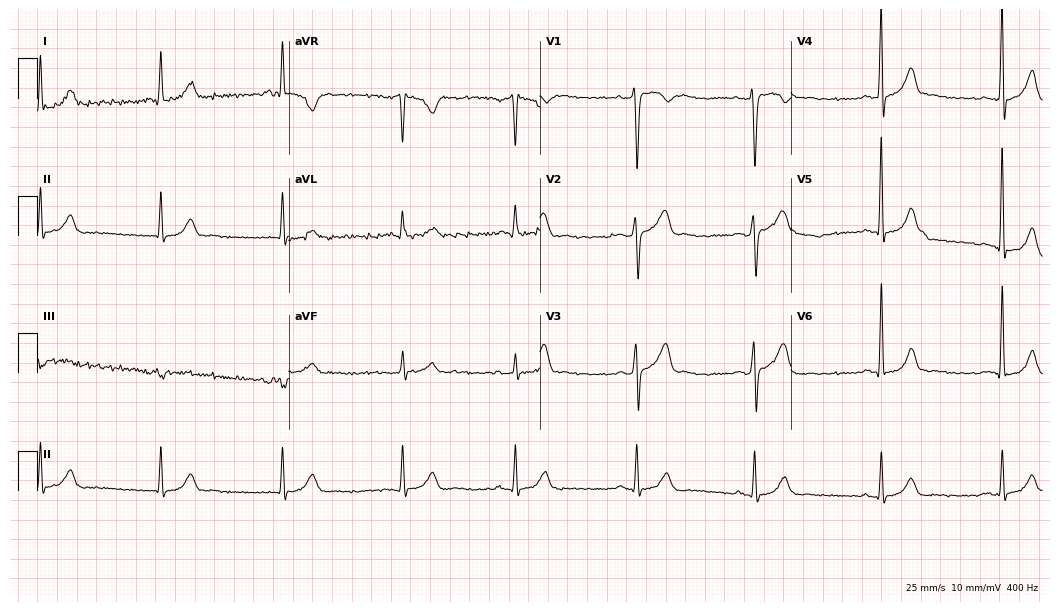
12-lead ECG from a man, 40 years old. Labelled as a normal ECG.